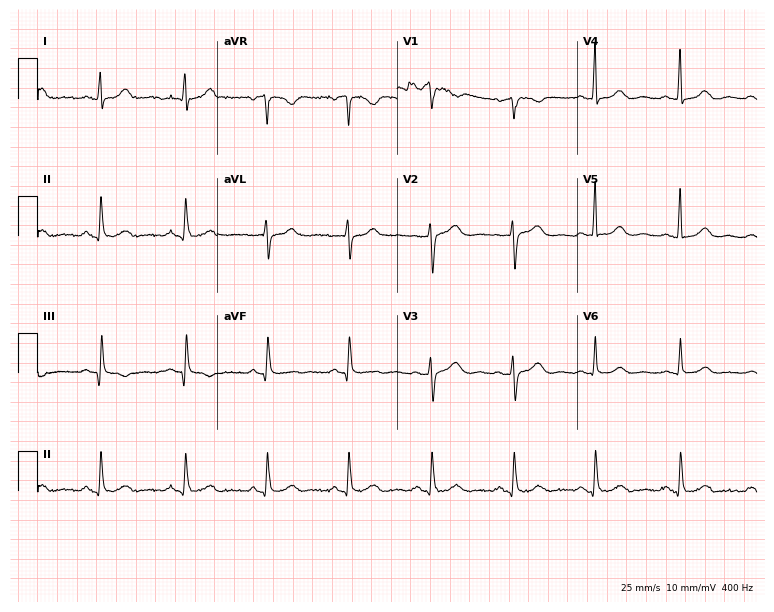
12-lead ECG from a 55-year-old female patient. Recorded interpretation: within normal limits.